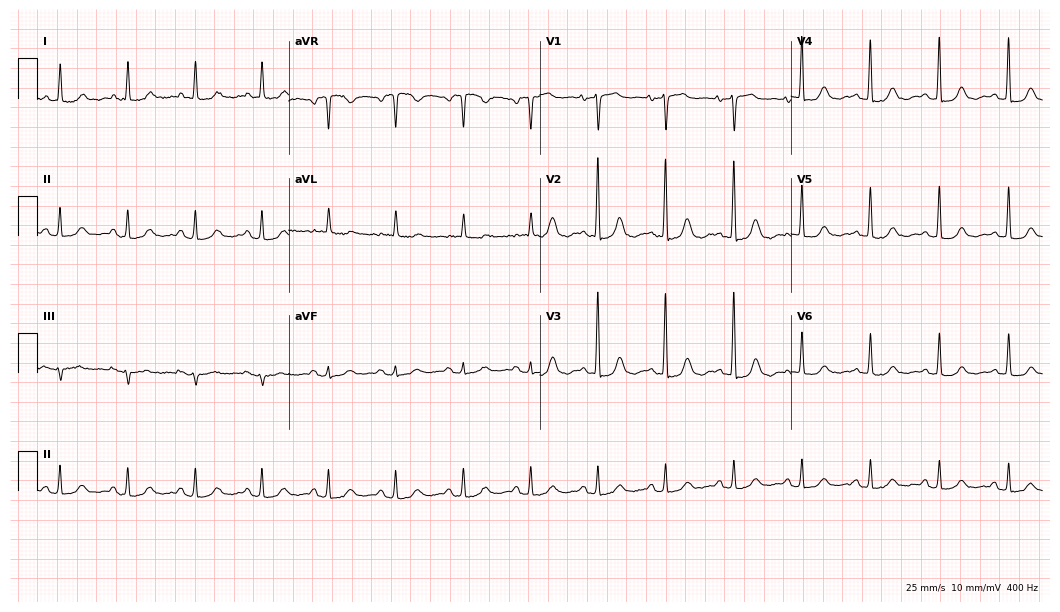
12-lead ECG from an 83-year-old female (10.2-second recording at 400 Hz). No first-degree AV block, right bundle branch block (RBBB), left bundle branch block (LBBB), sinus bradycardia, atrial fibrillation (AF) or sinus tachycardia recorded for this tracing.